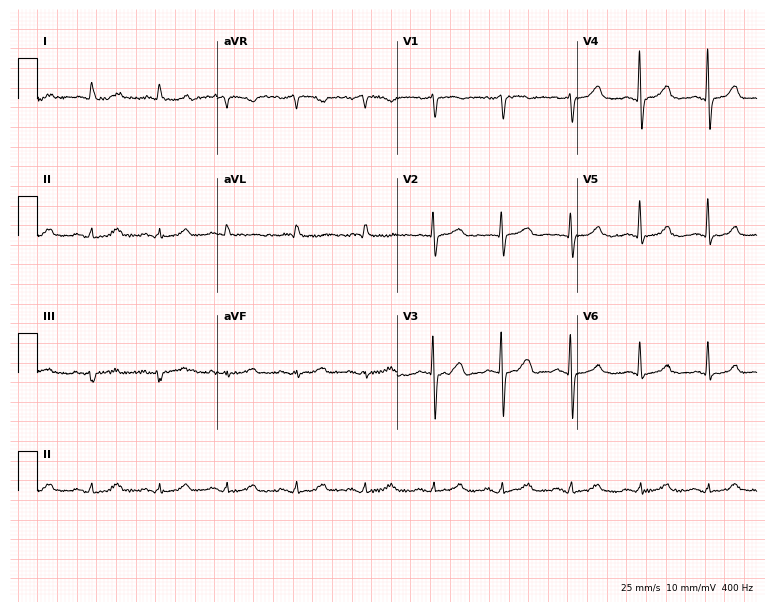
Standard 12-lead ECG recorded from a female patient, 77 years old. Read as a normal ECG.